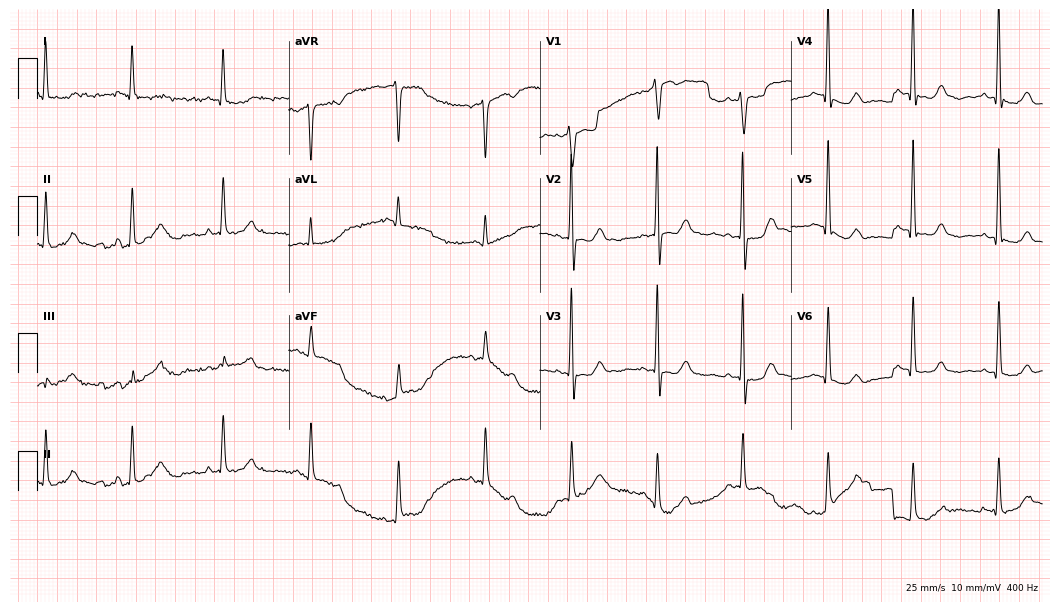
Resting 12-lead electrocardiogram. Patient: a female, 76 years old. None of these six findings is recorded: first-degree AV block, right bundle branch block, left bundle branch block, sinus bradycardia, atrial fibrillation, sinus tachycardia. Other findings, if any, are not listed.